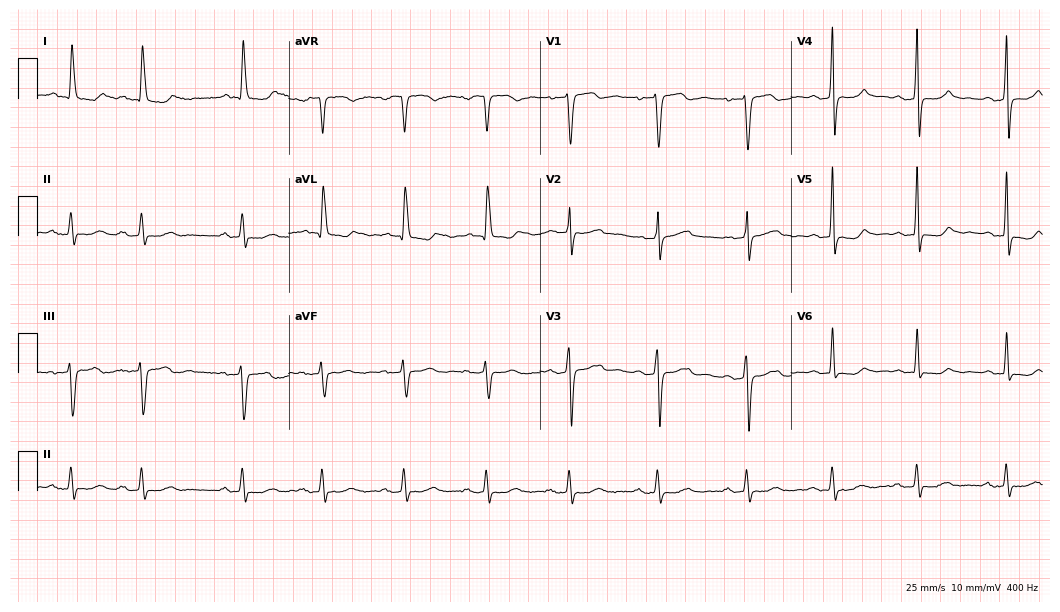
Standard 12-lead ECG recorded from a female, 68 years old. None of these six findings is recorded: first-degree AV block, right bundle branch block, left bundle branch block, sinus bradycardia, atrial fibrillation, sinus tachycardia. Findings outside these six are not listed.